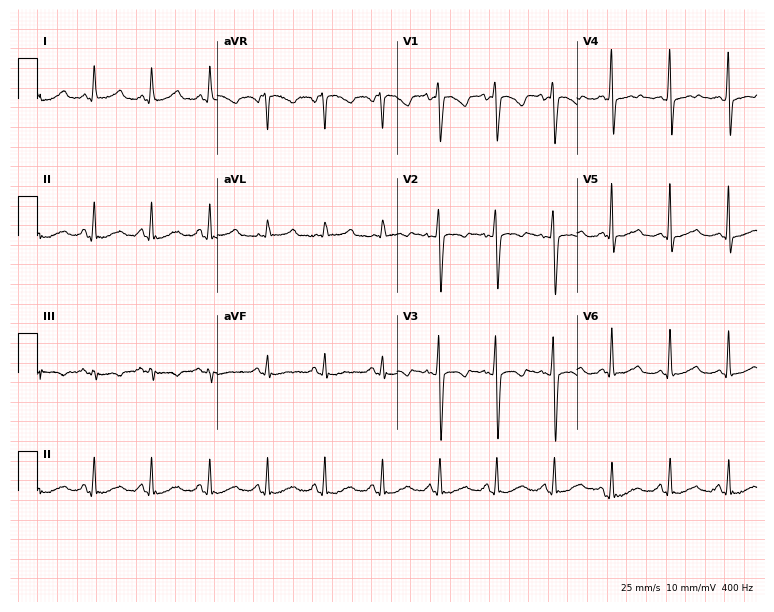
12-lead ECG from a 45-year-old woman. Shows sinus tachycardia (a sinus rate of 100 beats per minute or more).